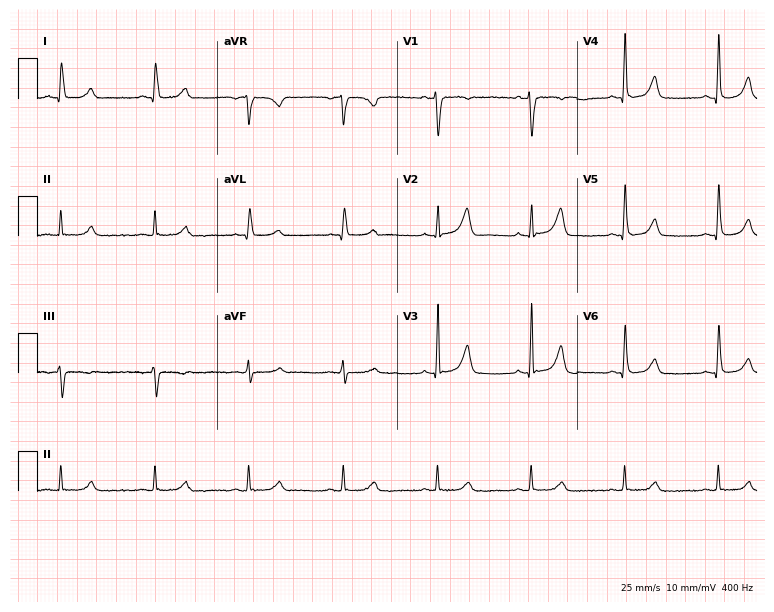
Electrocardiogram, a female, 64 years old. Of the six screened findings (first-degree AV block, right bundle branch block, left bundle branch block, sinus bradycardia, atrial fibrillation, sinus tachycardia), none is recorded. Other findings, if any, are not listed.